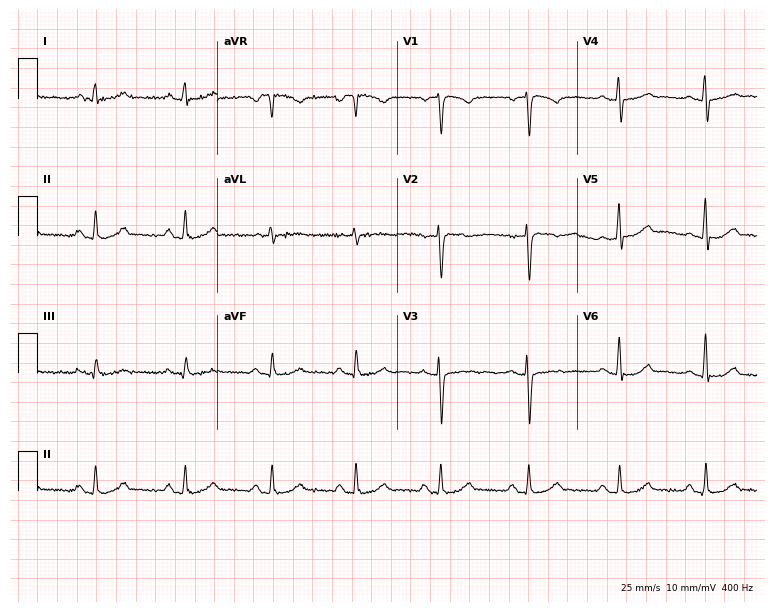
Electrocardiogram, a woman, 54 years old. Overall reading on record: normal ECG.